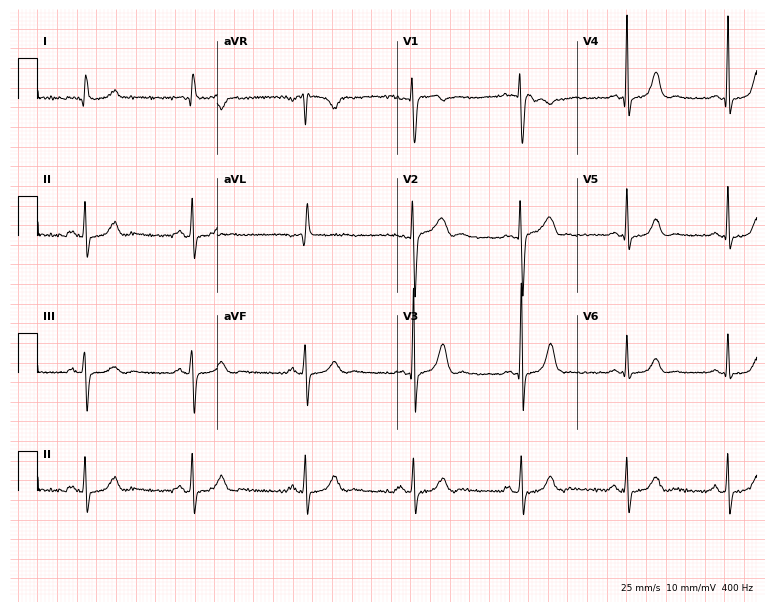
12-lead ECG (7.3-second recording at 400 Hz) from a woman, 37 years old. Screened for six findings — first-degree AV block, right bundle branch block, left bundle branch block, sinus bradycardia, atrial fibrillation, sinus tachycardia — none is recorded.